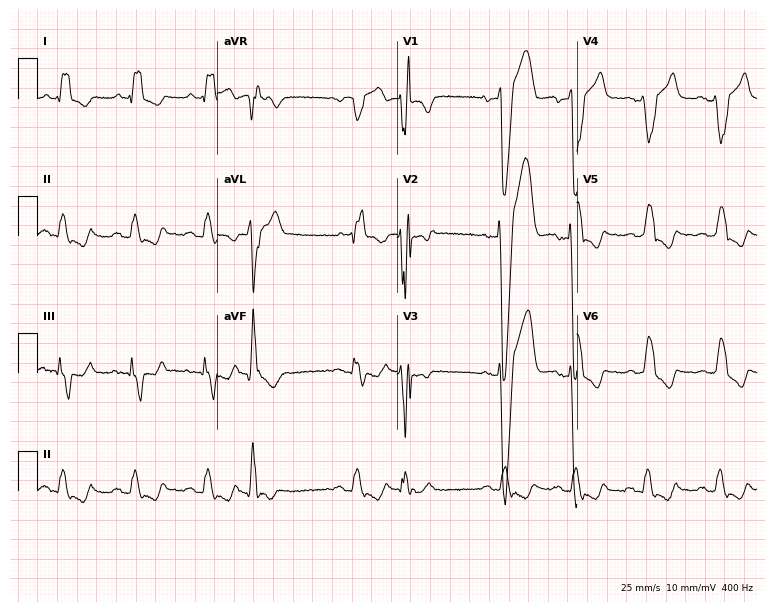
Resting 12-lead electrocardiogram. Patient: a 53-year-old male. The tracing shows left bundle branch block.